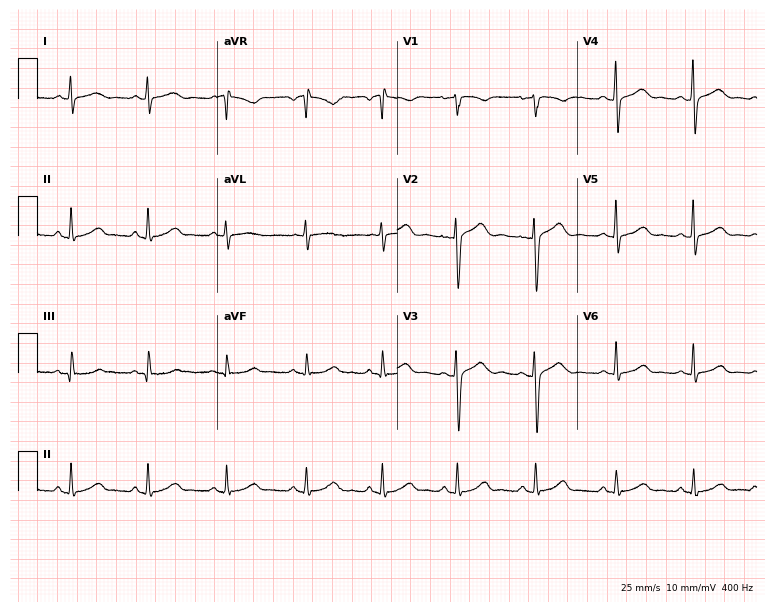
Standard 12-lead ECG recorded from a woman, 36 years old. Read as a normal ECG.